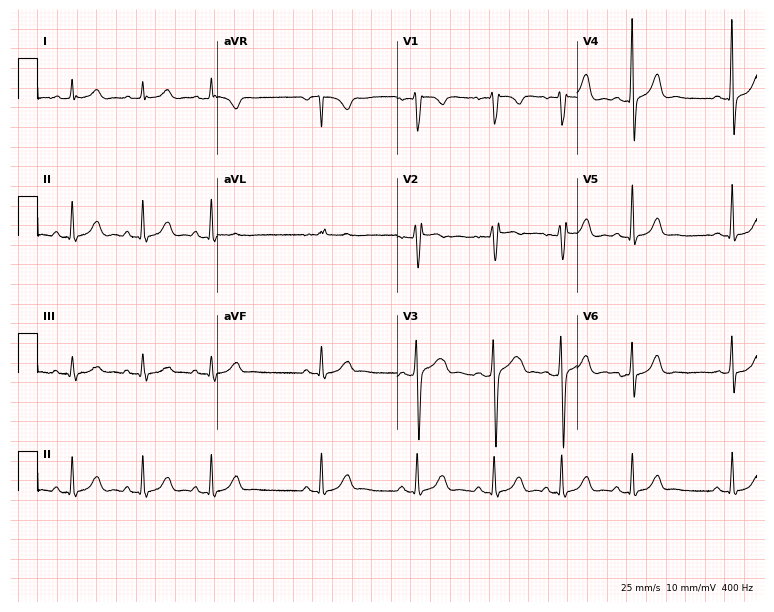
12-lead ECG (7.3-second recording at 400 Hz) from a 27-year-old woman. Screened for six findings — first-degree AV block, right bundle branch block, left bundle branch block, sinus bradycardia, atrial fibrillation, sinus tachycardia — none is recorded.